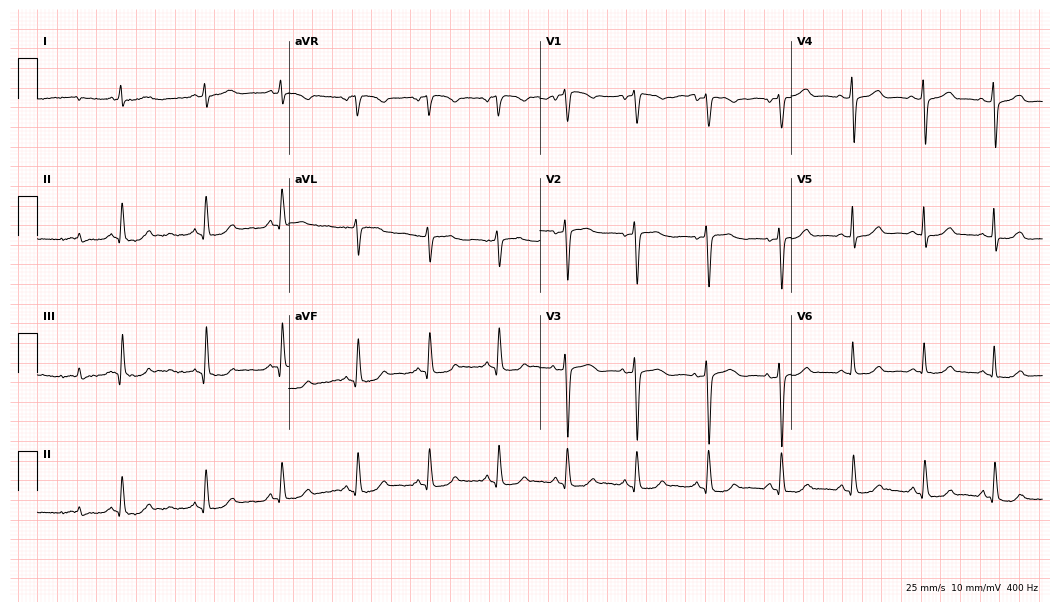
Electrocardiogram, a 67-year-old woman. Of the six screened findings (first-degree AV block, right bundle branch block, left bundle branch block, sinus bradycardia, atrial fibrillation, sinus tachycardia), none is recorded.